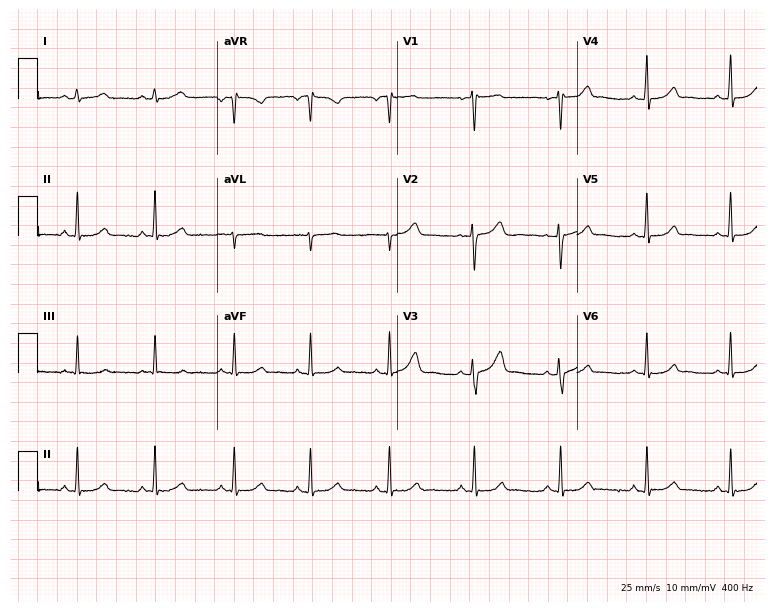
12-lead ECG from a 31-year-old woman. Recorded interpretation: within normal limits.